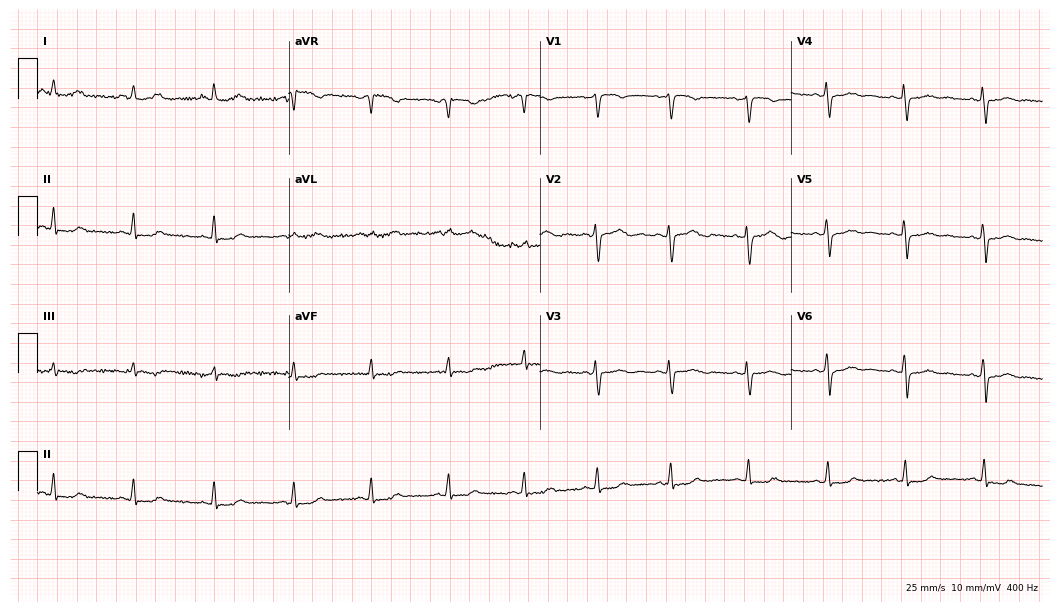
Resting 12-lead electrocardiogram (10.2-second recording at 400 Hz). Patient: a 28-year-old female. None of these six findings is recorded: first-degree AV block, right bundle branch block (RBBB), left bundle branch block (LBBB), sinus bradycardia, atrial fibrillation (AF), sinus tachycardia. Findings outside these six are not listed.